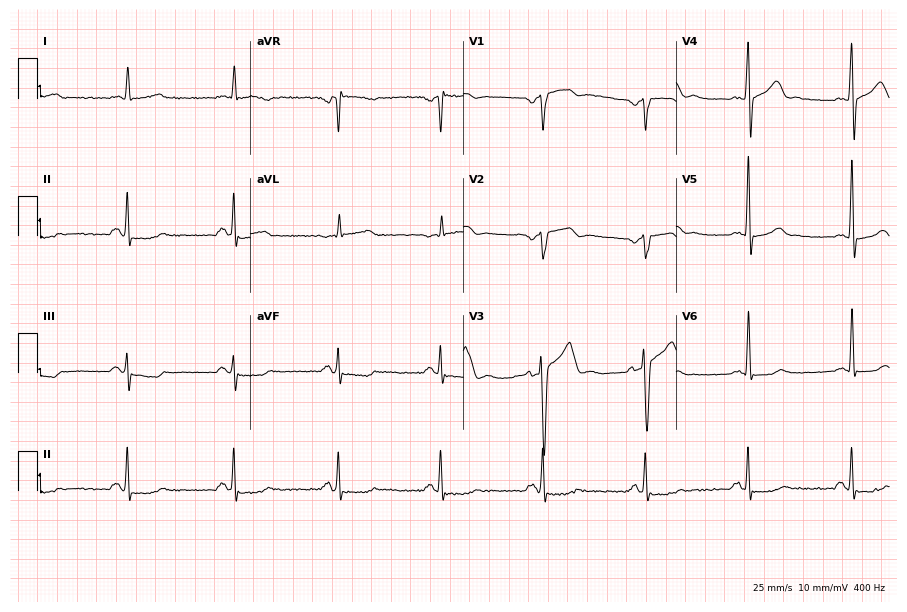
Resting 12-lead electrocardiogram. Patient: a 63-year-old male. None of these six findings is recorded: first-degree AV block, right bundle branch block, left bundle branch block, sinus bradycardia, atrial fibrillation, sinus tachycardia. Only these six findings were labelled.